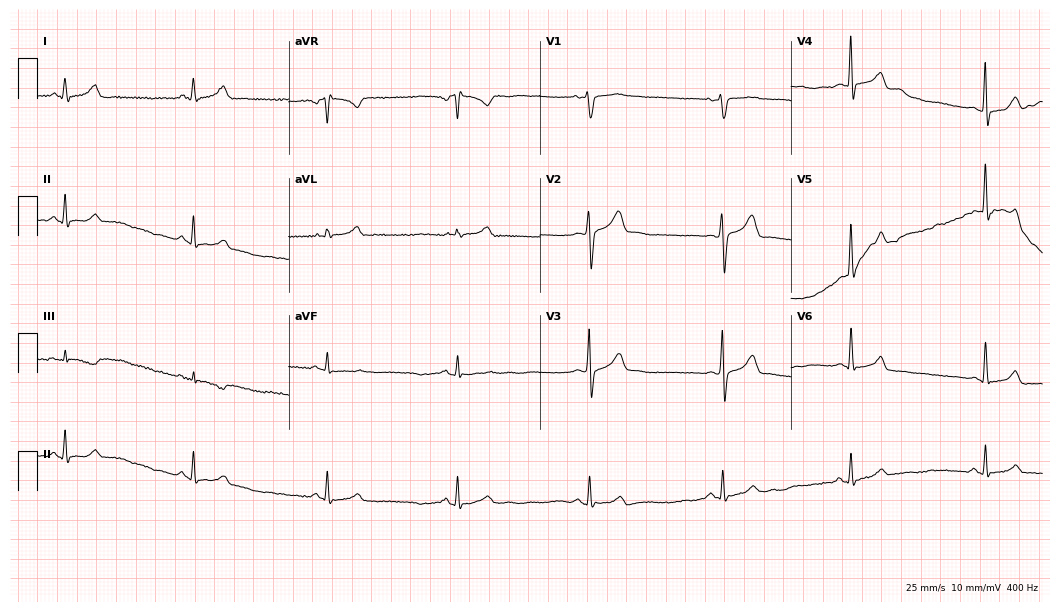
Resting 12-lead electrocardiogram. Patient: a male, 38 years old. The tracing shows sinus bradycardia (a sinus rate of 50 beats per minute or less).